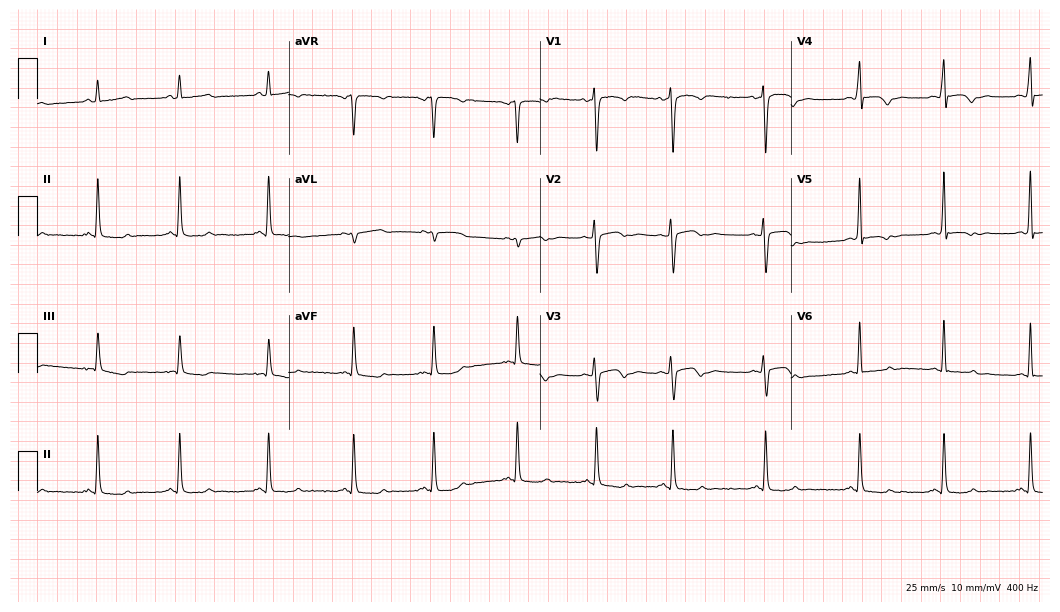
Resting 12-lead electrocardiogram (10.2-second recording at 400 Hz). Patient: a 45-year-old female. None of these six findings is recorded: first-degree AV block, right bundle branch block, left bundle branch block, sinus bradycardia, atrial fibrillation, sinus tachycardia.